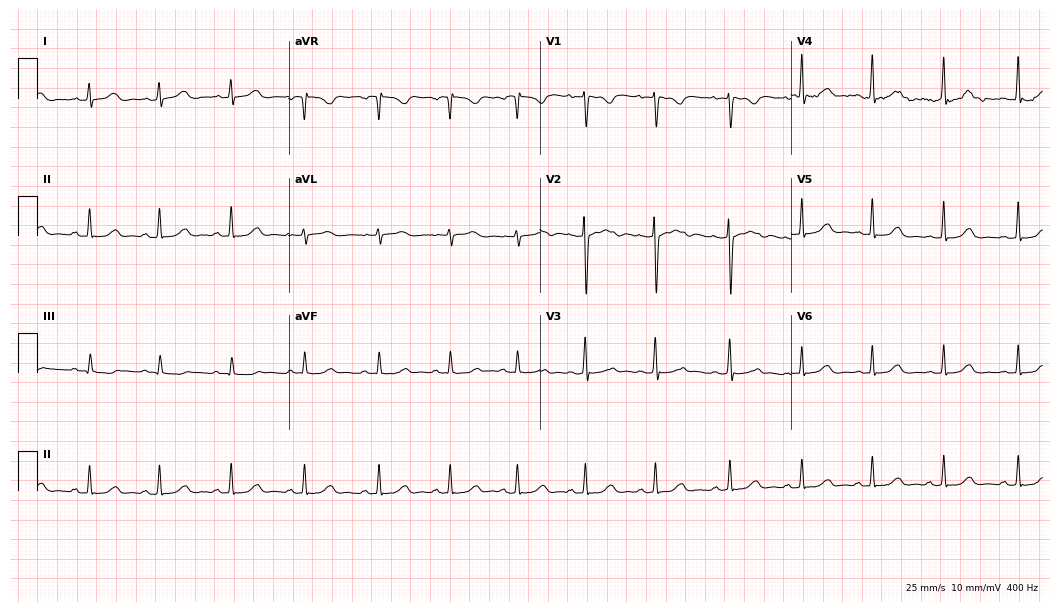
12-lead ECG from a female patient, 26 years old (10.2-second recording at 400 Hz). Recorded interpretation: within normal limits.